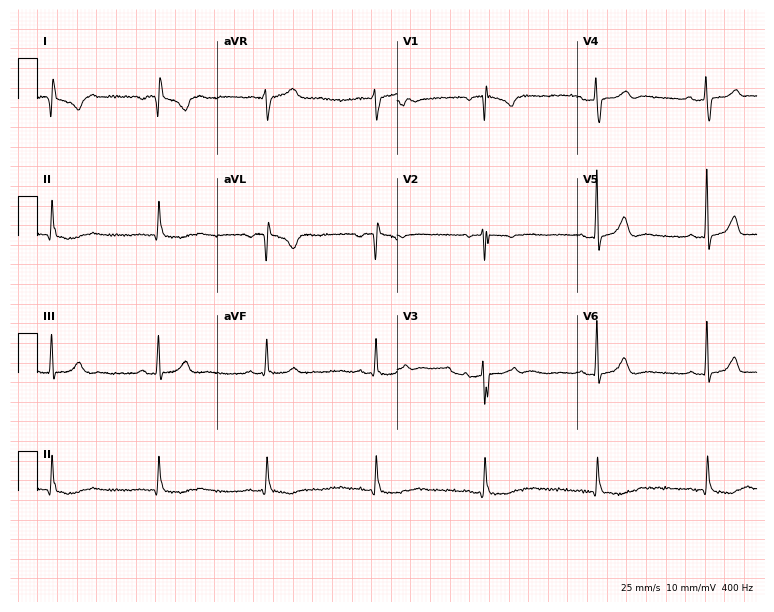
12-lead ECG from a man, 41 years old. No first-degree AV block, right bundle branch block (RBBB), left bundle branch block (LBBB), sinus bradycardia, atrial fibrillation (AF) or sinus tachycardia recorded for this tracing.